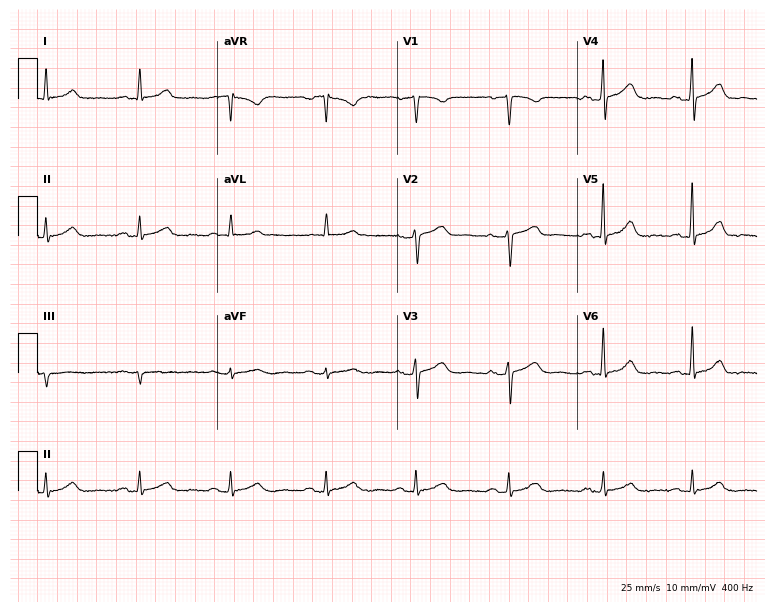
ECG — a male patient, 60 years old. Labelled as a normal ECG.